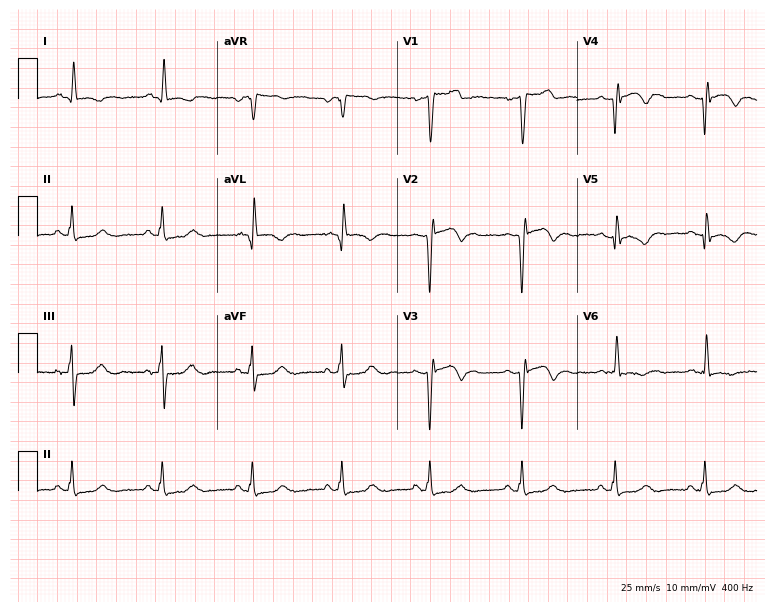
12-lead ECG from a woman, 43 years old. No first-degree AV block, right bundle branch block, left bundle branch block, sinus bradycardia, atrial fibrillation or sinus tachycardia recorded for this tracing.